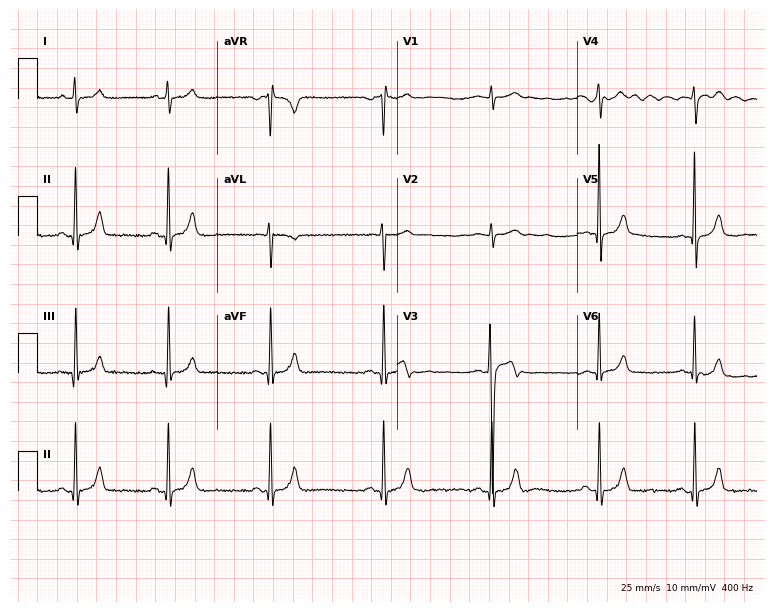
12-lead ECG from a 23-year-old man. No first-degree AV block, right bundle branch block (RBBB), left bundle branch block (LBBB), sinus bradycardia, atrial fibrillation (AF) or sinus tachycardia recorded for this tracing.